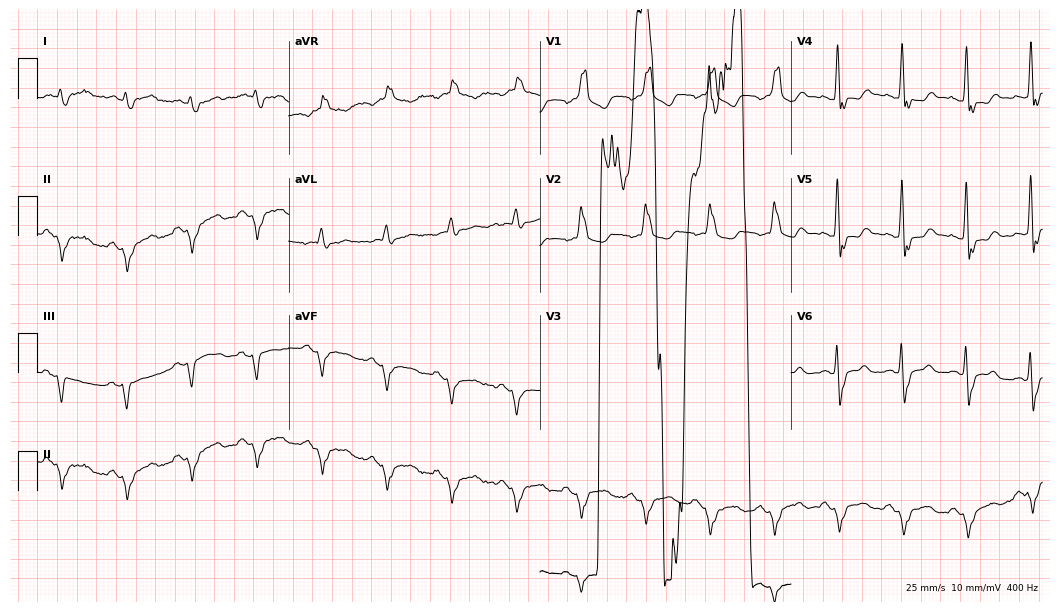
12-lead ECG (10.2-second recording at 400 Hz) from a man, 68 years old. Screened for six findings — first-degree AV block, right bundle branch block, left bundle branch block, sinus bradycardia, atrial fibrillation, sinus tachycardia — none is recorded.